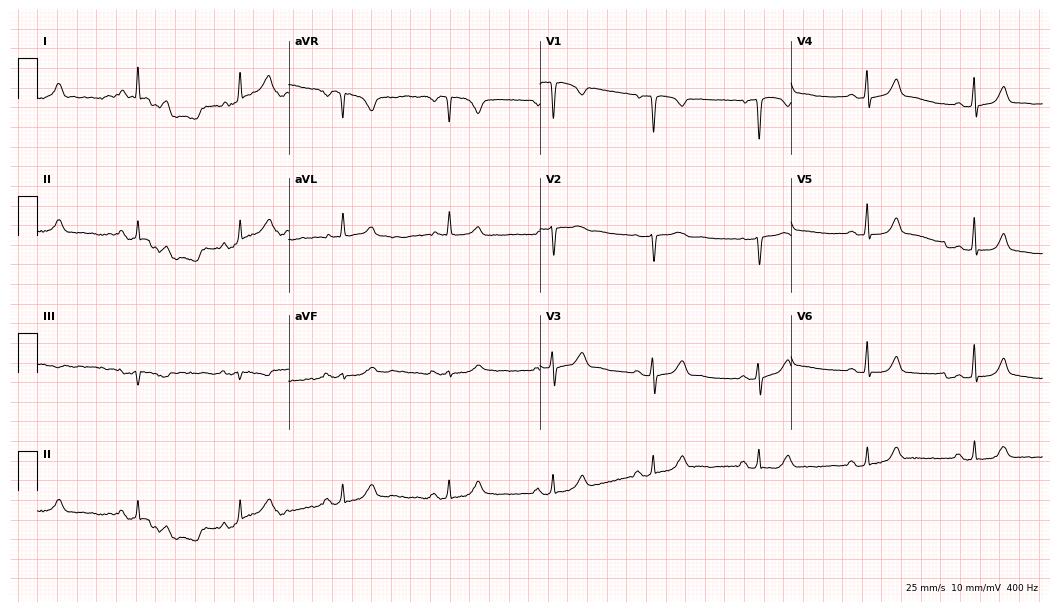
Standard 12-lead ECG recorded from a 51-year-old female patient (10.2-second recording at 400 Hz). Read as a normal ECG.